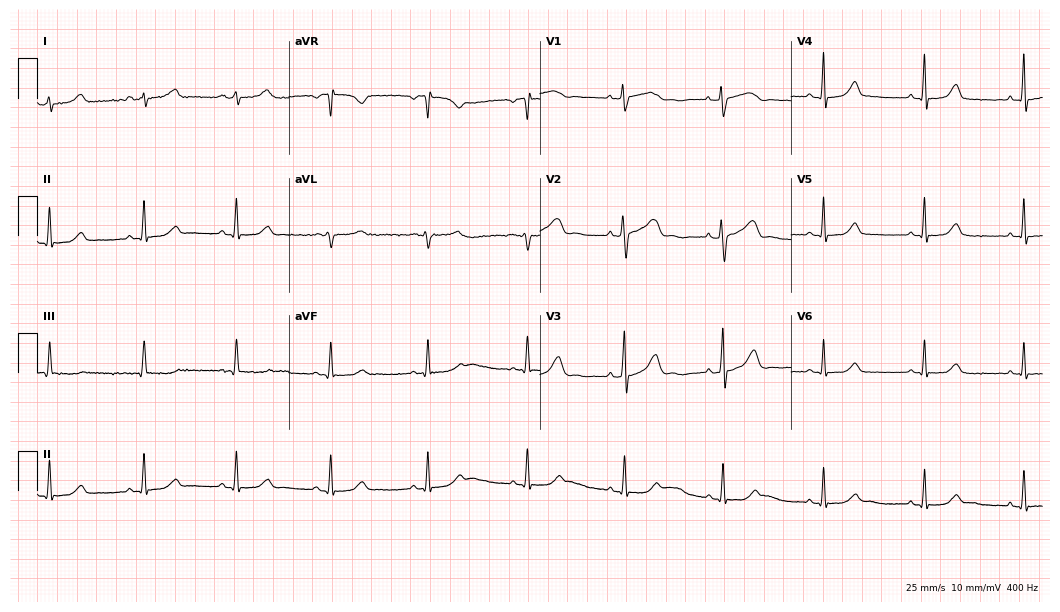
12-lead ECG from a 48-year-old female. Labelled as a normal ECG.